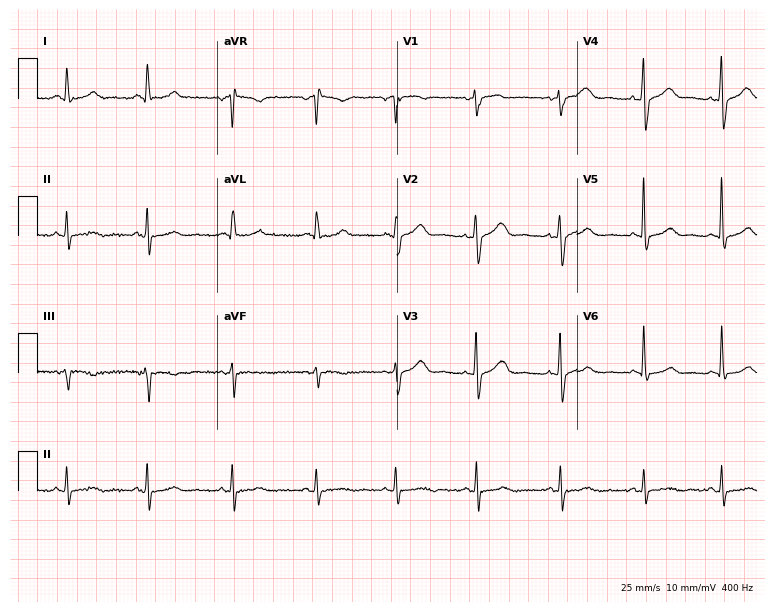
12-lead ECG from a woman, 52 years old. Screened for six findings — first-degree AV block, right bundle branch block, left bundle branch block, sinus bradycardia, atrial fibrillation, sinus tachycardia — none is recorded. Only these six findings were labelled.